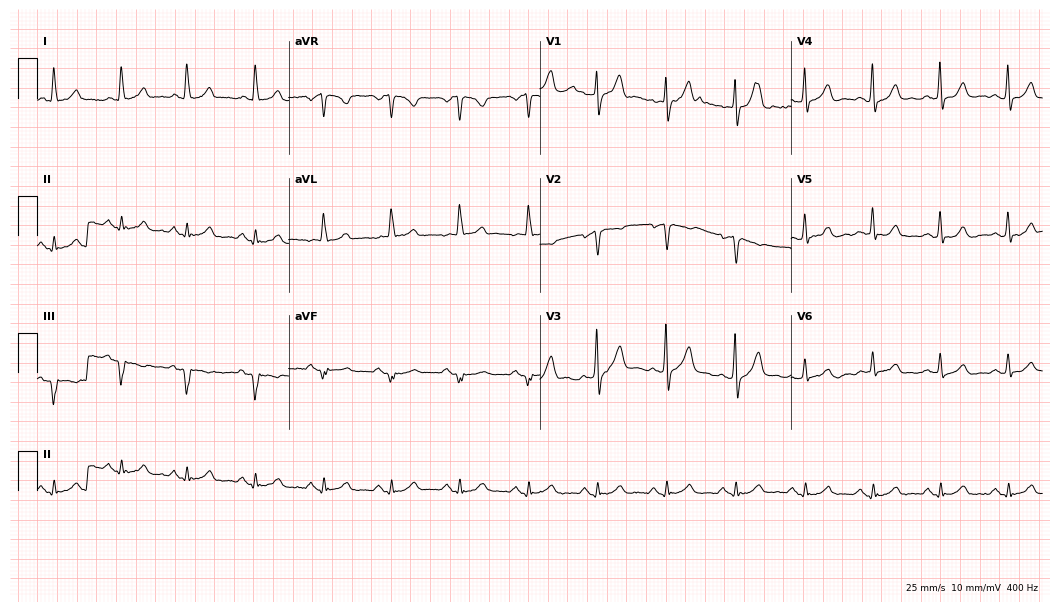
Electrocardiogram (10.2-second recording at 400 Hz), a male patient, 55 years old. Overall reading on record: normal ECG.